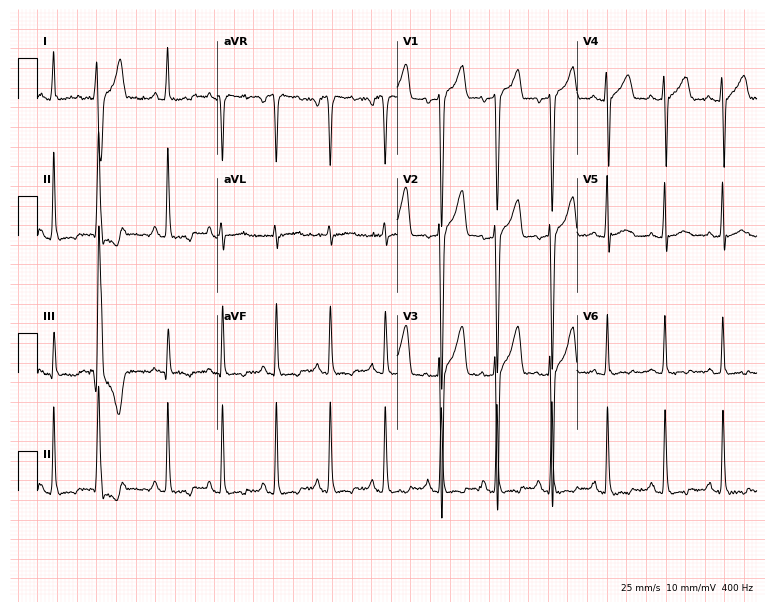
Resting 12-lead electrocardiogram. Patient: a male, 26 years old. The tracing shows sinus tachycardia (a sinus rate of 100 beats per minute or more).